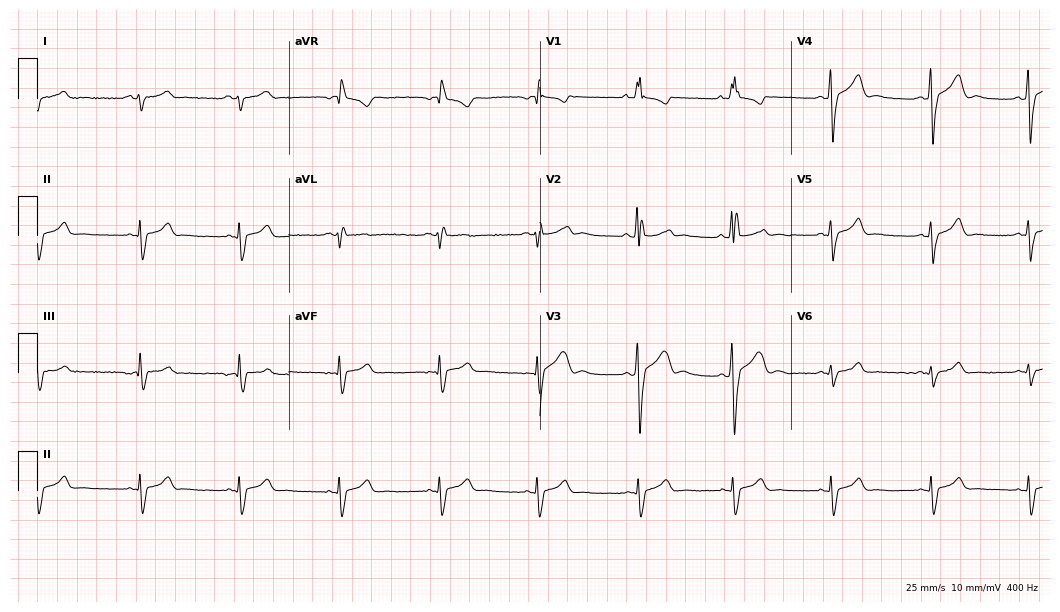
ECG — a 17-year-old man. Findings include right bundle branch block.